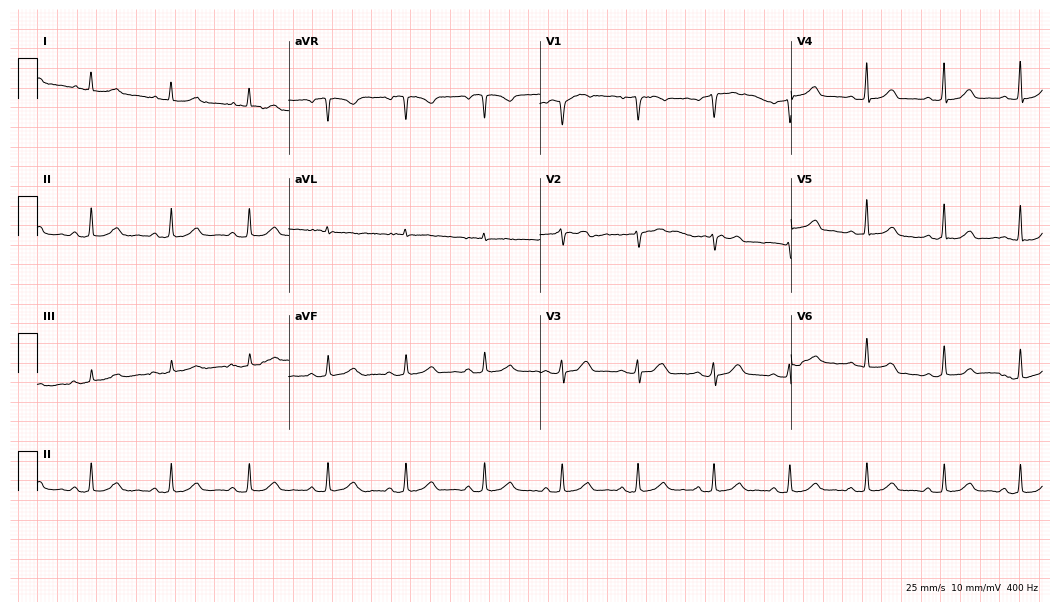
12-lead ECG from a 61-year-old female patient. Recorded interpretation: within normal limits.